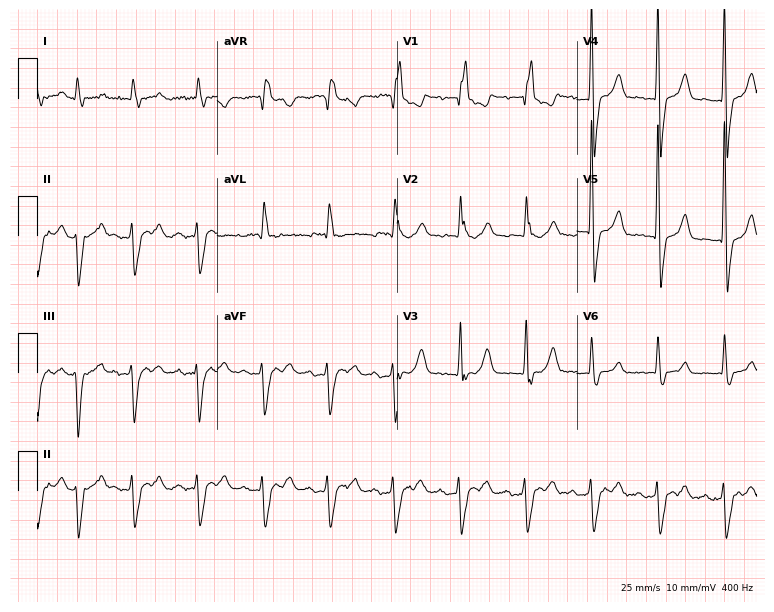
Electrocardiogram, an 85-year-old man. Interpretation includes right bundle branch block (RBBB).